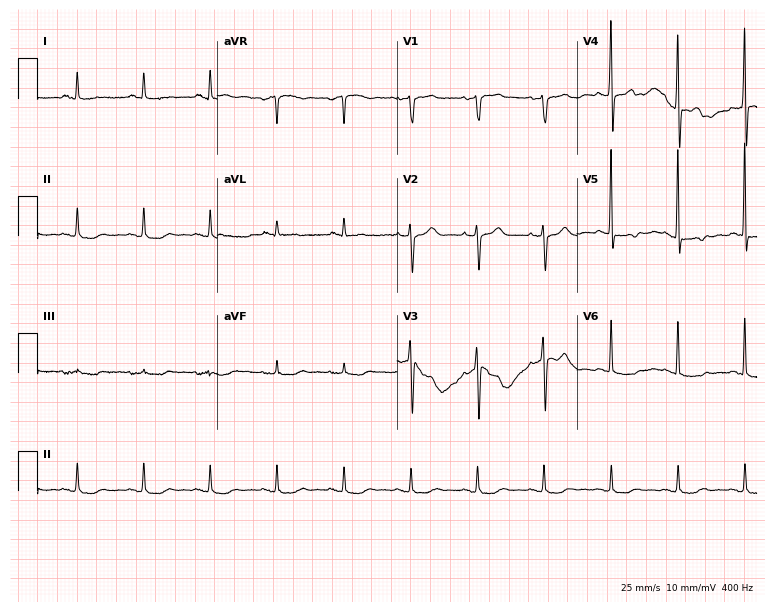
Standard 12-lead ECG recorded from a female, 73 years old. None of these six findings is recorded: first-degree AV block, right bundle branch block (RBBB), left bundle branch block (LBBB), sinus bradycardia, atrial fibrillation (AF), sinus tachycardia. Findings outside these six are not listed.